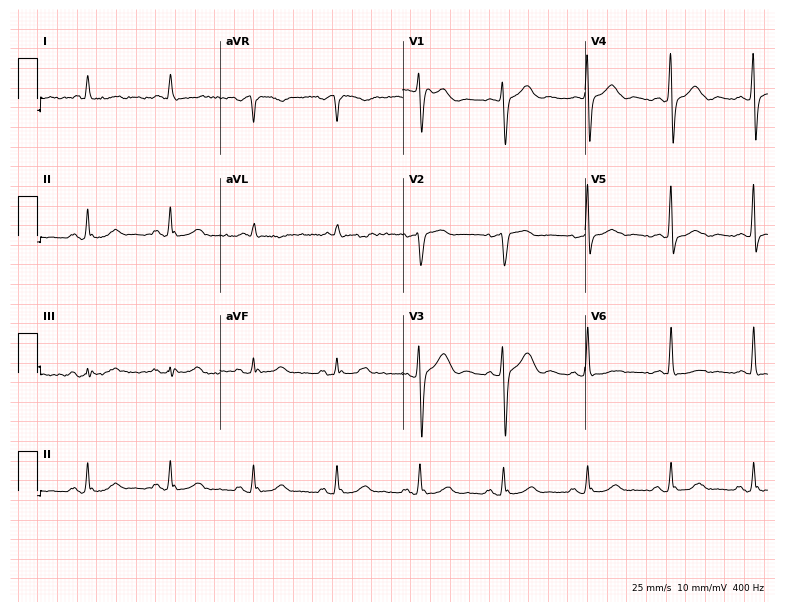
Standard 12-lead ECG recorded from a 52-year-old female patient (7.4-second recording at 400 Hz). None of these six findings is recorded: first-degree AV block, right bundle branch block, left bundle branch block, sinus bradycardia, atrial fibrillation, sinus tachycardia. Only these six findings were labelled.